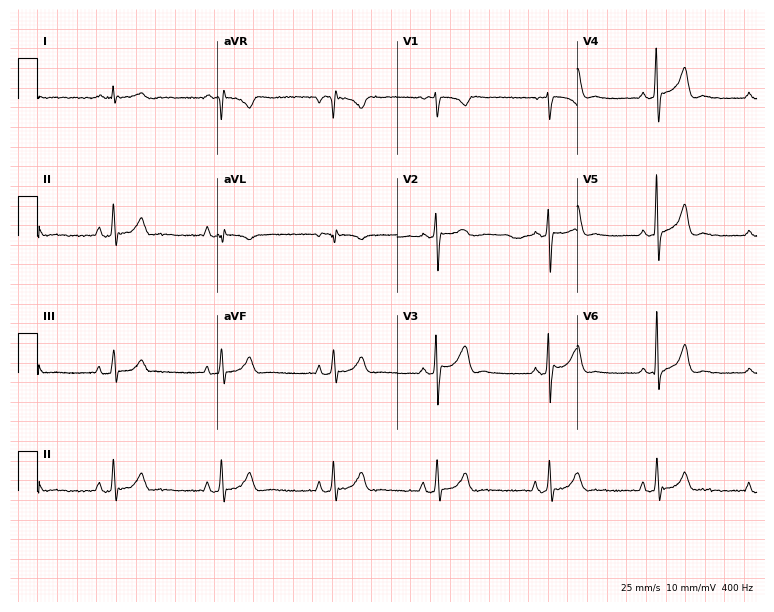
Resting 12-lead electrocardiogram (7.3-second recording at 400 Hz). Patient: a 22-year-old male. Read as a normal ECG.